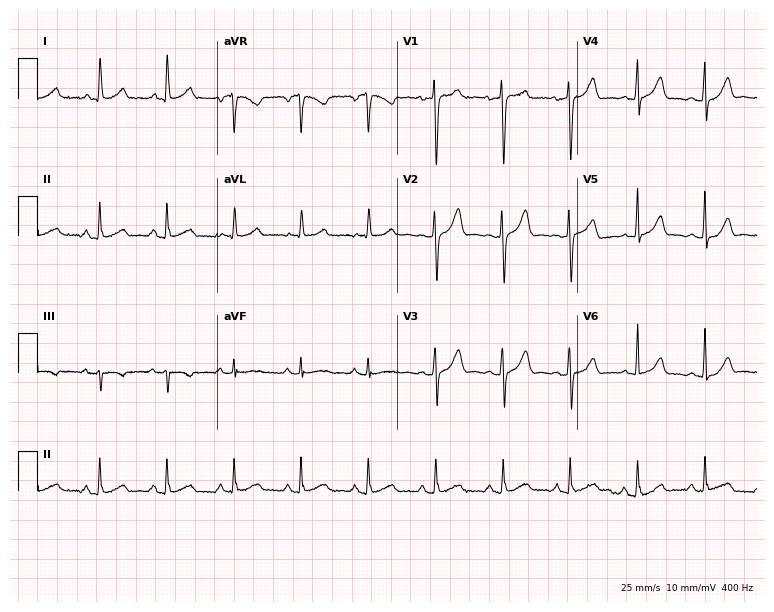
Resting 12-lead electrocardiogram (7.3-second recording at 400 Hz). Patient: a 44-year-old woman. Read as a normal ECG.